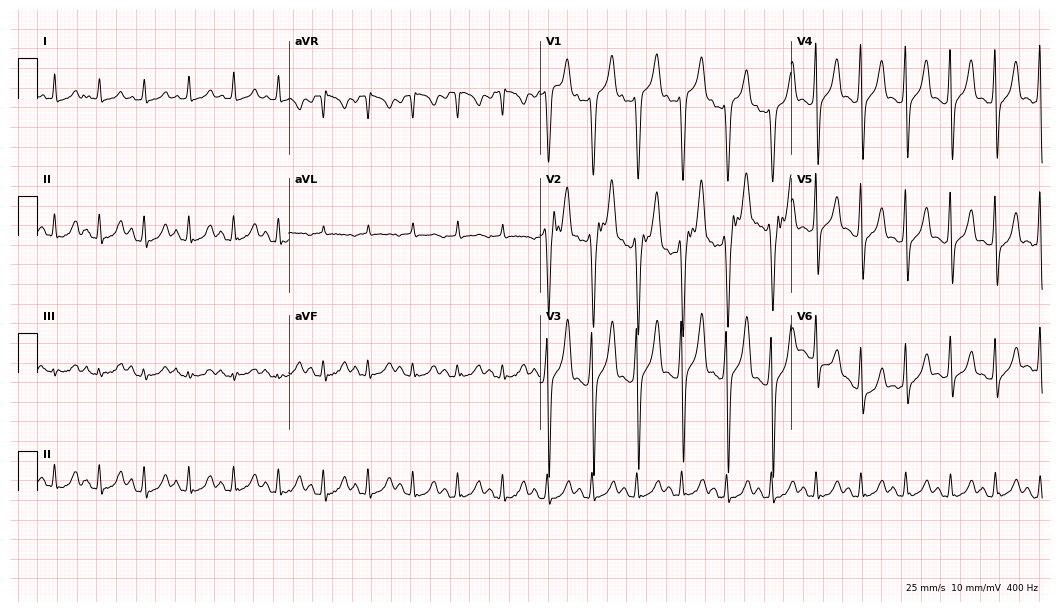
Resting 12-lead electrocardiogram (10.2-second recording at 400 Hz). Patient: a 35-year-old male. None of these six findings is recorded: first-degree AV block, right bundle branch block, left bundle branch block, sinus bradycardia, atrial fibrillation, sinus tachycardia. Findings outside these six are not listed.